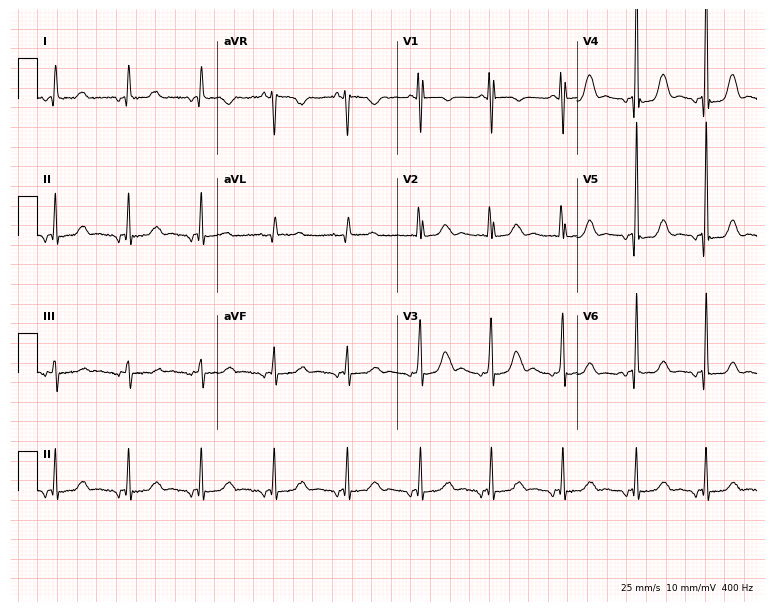
Resting 12-lead electrocardiogram. Patient: a 37-year-old female. None of these six findings is recorded: first-degree AV block, right bundle branch block, left bundle branch block, sinus bradycardia, atrial fibrillation, sinus tachycardia. Findings outside these six are not listed.